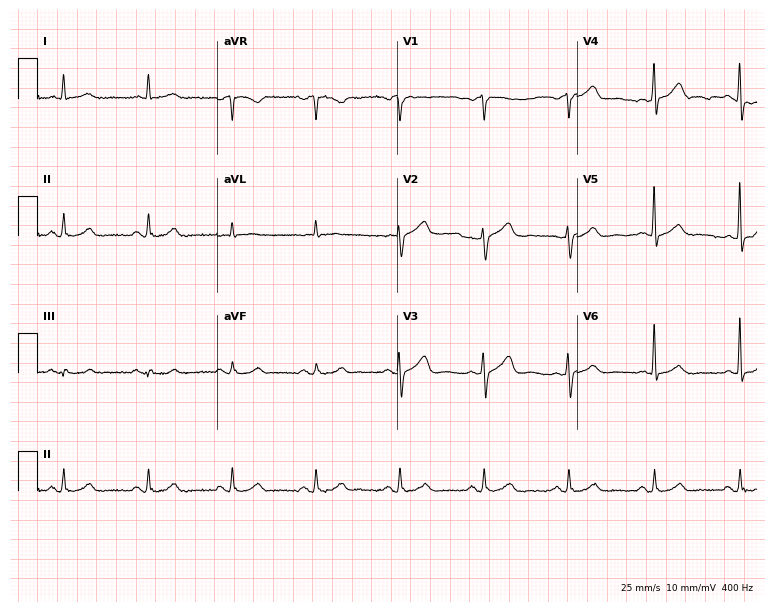
12-lead ECG from an 85-year-old male (7.3-second recording at 400 Hz). No first-degree AV block, right bundle branch block, left bundle branch block, sinus bradycardia, atrial fibrillation or sinus tachycardia recorded for this tracing. Findings outside these six are not listed.